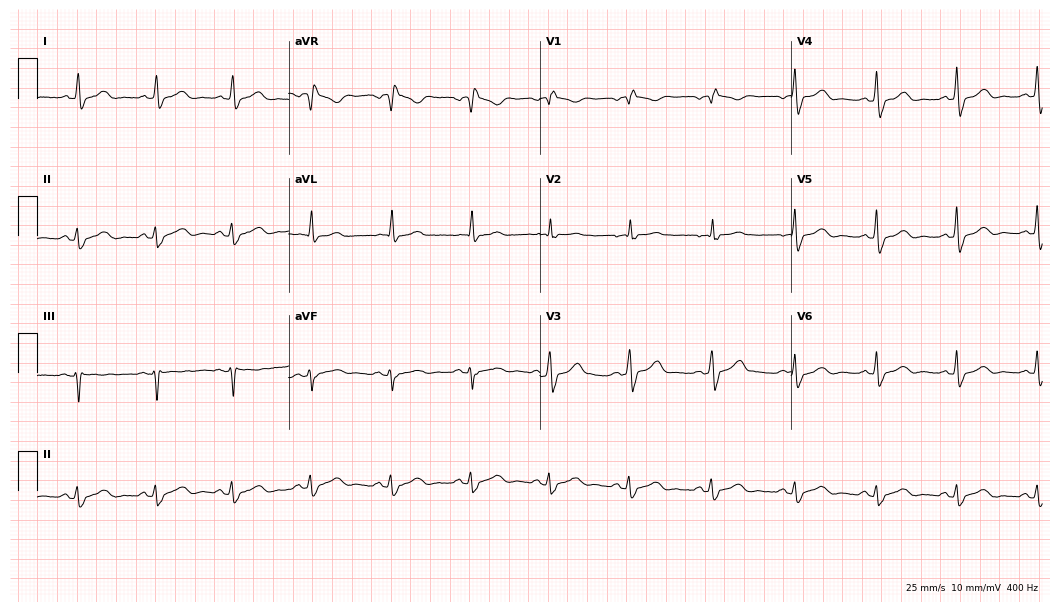
Standard 12-lead ECG recorded from a man, 58 years old. None of these six findings is recorded: first-degree AV block, right bundle branch block (RBBB), left bundle branch block (LBBB), sinus bradycardia, atrial fibrillation (AF), sinus tachycardia. Only these six findings were labelled.